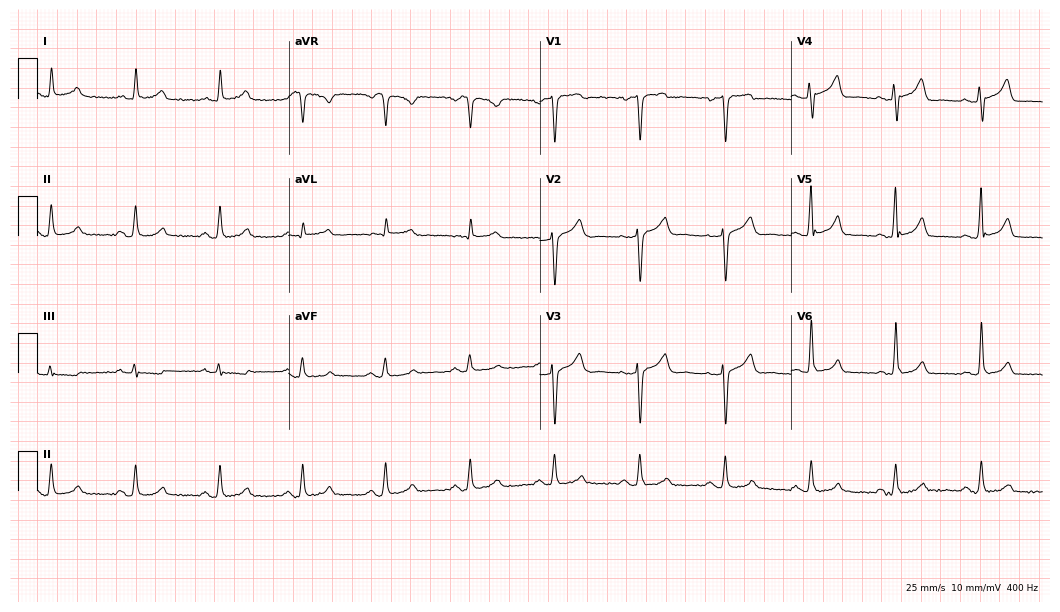
12-lead ECG (10.2-second recording at 400 Hz) from a 59-year-old man. Labelled as a normal ECG.